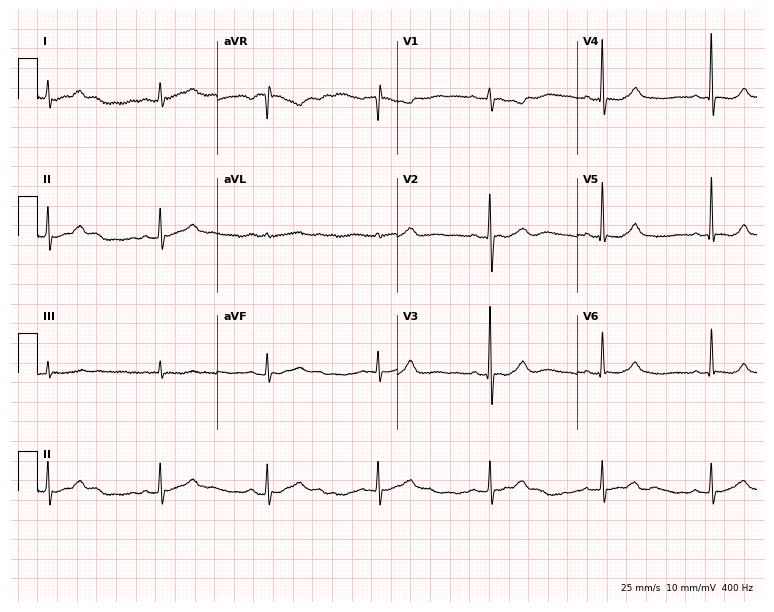
Electrocardiogram, a woman, 63 years old. Of the six screened findings (first-degree AV block, right bundle branch block, left bundle branch block, sinus bradycardia, atrial fibrillation, sinus tachycardia), none is recorded.